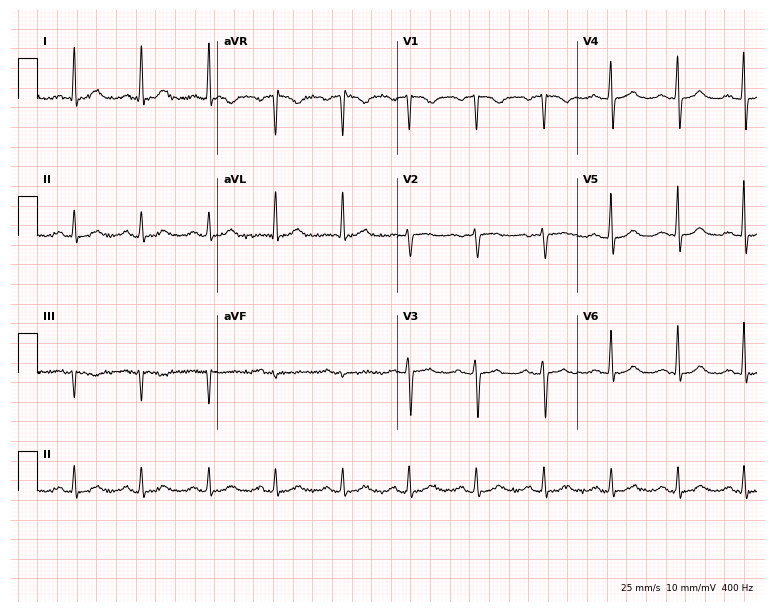
12-lead ECG from a female patient, 74 years old. Recorded interpretation: within normal limits.